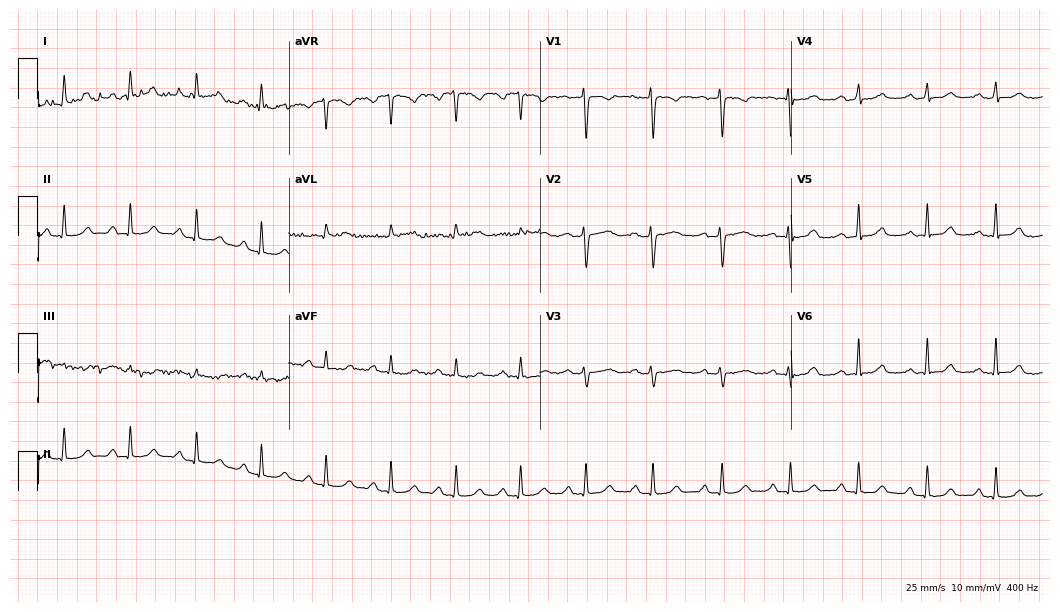
12-lead ECG from a 32-year-old female patient. Recorded interpretation: within normal limits.